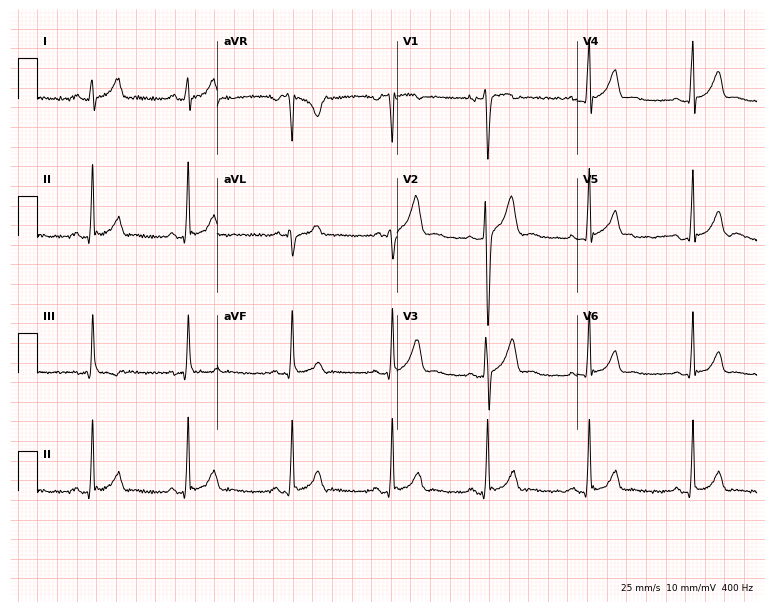
Standard 12-lead ECG recorded from a male patient, 17 years old. Read as a normal ECG.